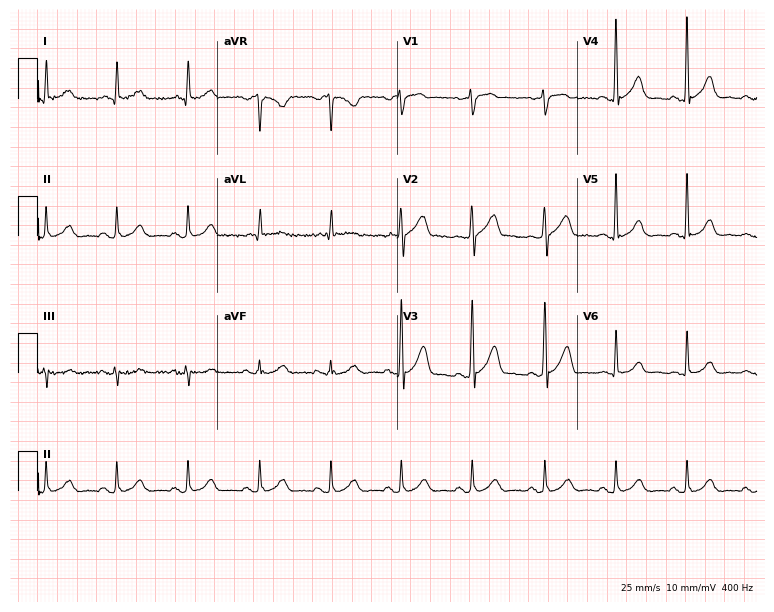
Electrocardiogram (7.3-second recording at 400 Hz), a 73-year-old man. Overall reading on record: normal ECG.